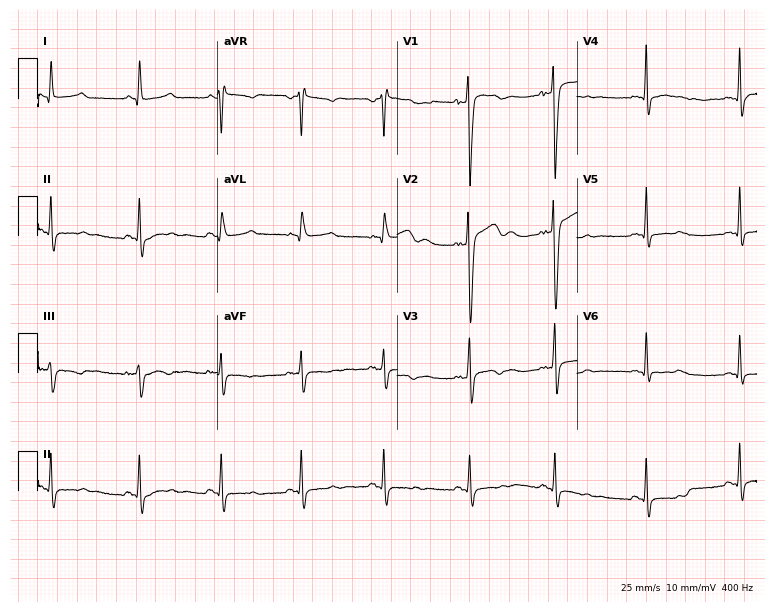
ECG (7.3-second recording at 400 Hz) — a man, 26 years old. Screened for six findings — first-degree AV block, right bundle branch block, left bundle branch block, sinus bradycardia, atrial fibrillation, sinus tachycardia — none is recorded.